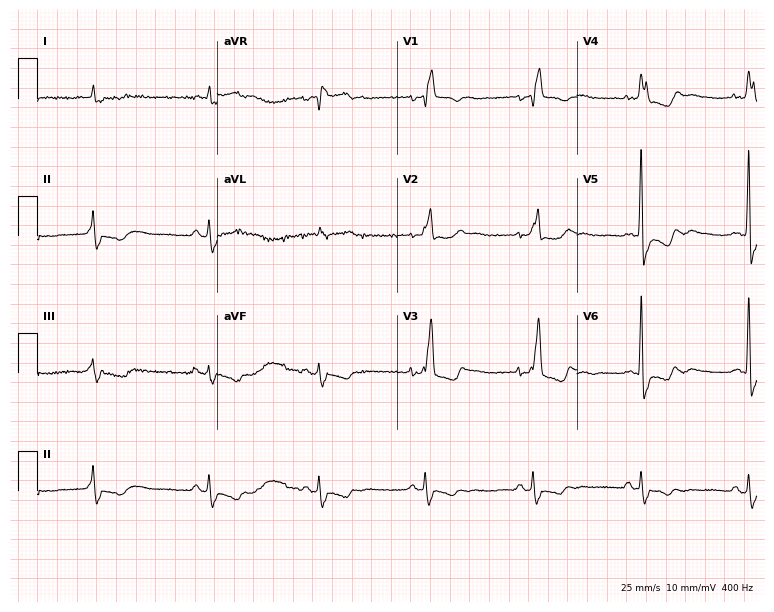
Electrocardiogram (7.3-second recording at 400 Hz), a male patient, 70 years old. Interpretation includes right bundle branch block (RBBB).